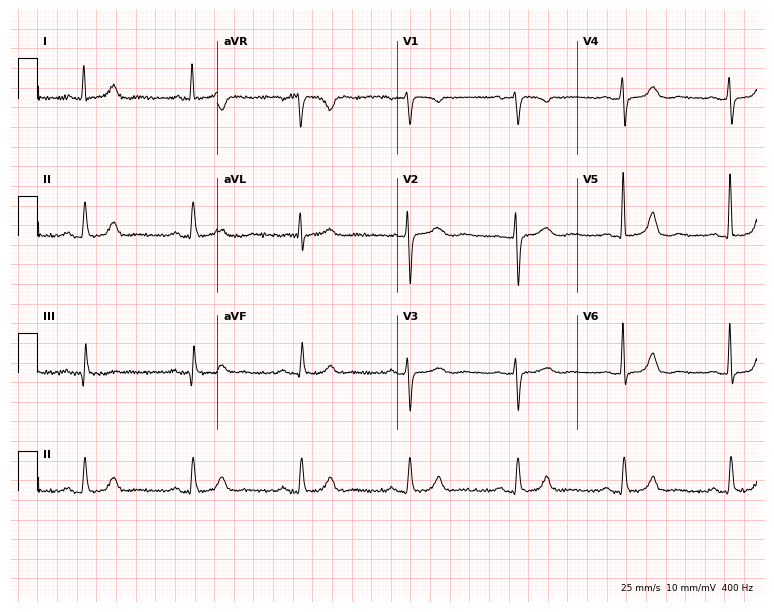
Resting 12-lead electrocardiogram. Patient: a 78-year-old woman. Read as a normal ECG.